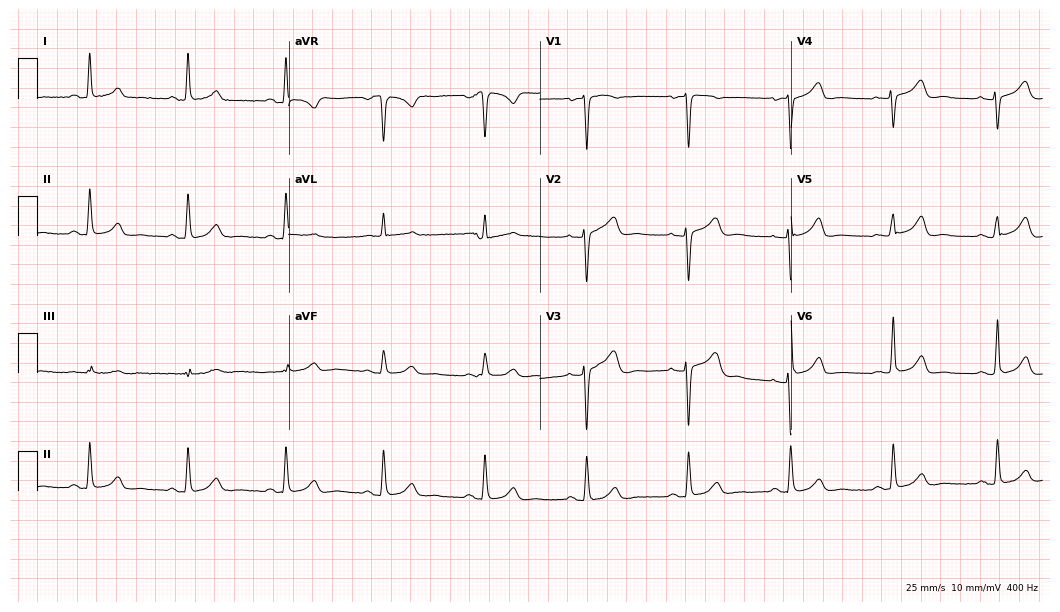
Resting 12-lead electrocardiogram (10.2-second recording at 400 Hz). Patient: a 56-year-old woman. None of these six findings is recorded: first-degree AV block, right bundle branch block, left bundle branch block, sinus bradycardia, atrial fibrillation, sinus tachycardia.